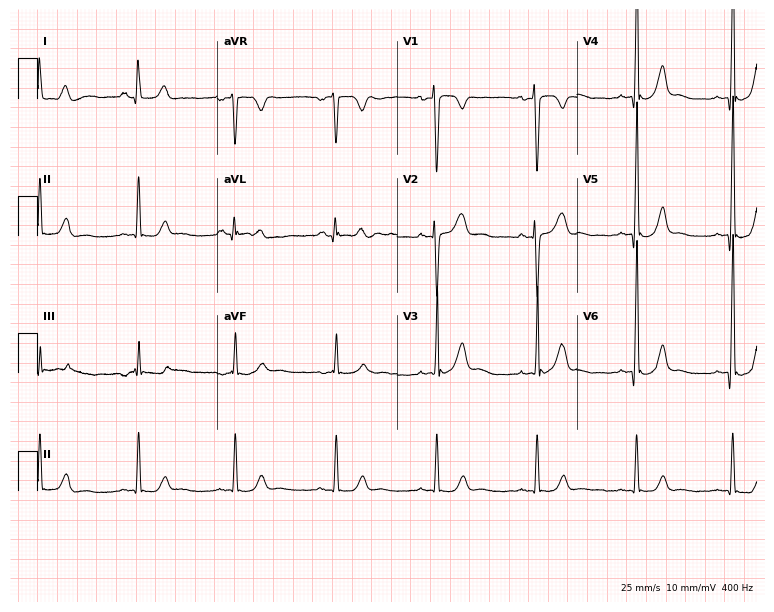
12-lead ECG (7.3-second recording at 400 Hz) from a female, 27 years old. Screened for six findings — first-degree AV block, right bundle branch block (RBBB), left bundle branch block (LBBB), sinus bradycardia, atrial fibrillation (AF), sinus tachycardia — none is recorded. Other findings, if any, are not listed.